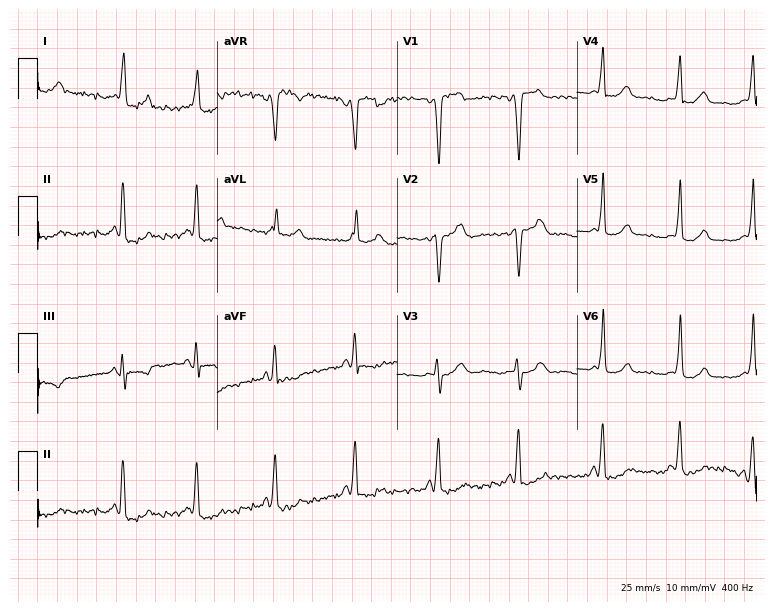
Electrocardiogram (7.3-second recording at 400 Hz), a 39-year-old woman. Of the six screened findings (first-degree AV block, right bundle branch block, left bundle branch block, sinus bradycardia, atrial fibrillation, sinus tachycardia), none is recorded. Other findings, if any, are not listed.